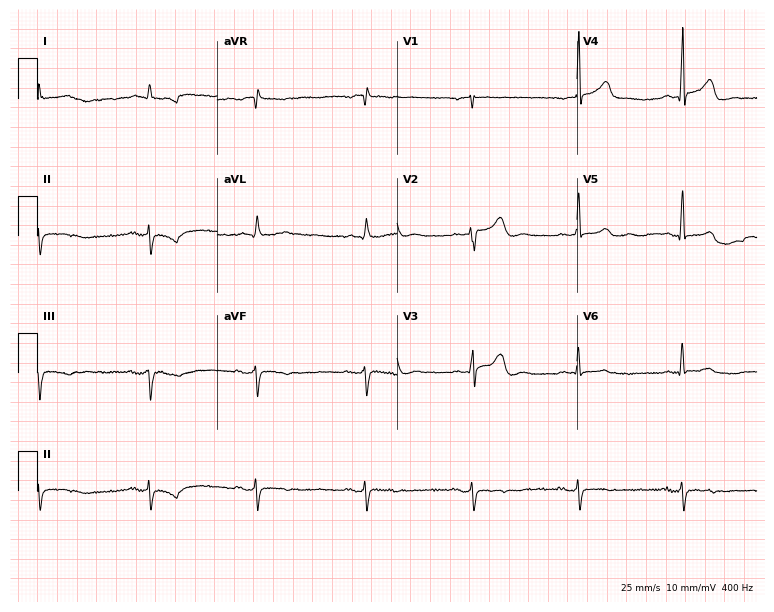
Electrocardiogram (7.3-second recording at 400 Hz), a 78-year-old female patient. Of the six screened findings (first-degree AV block, right bundle branch block, left bundle branch block, sinus bradycardia, atrial fibrillation, sinus tachycardia), none is recorded. Only these six findings were labelled.